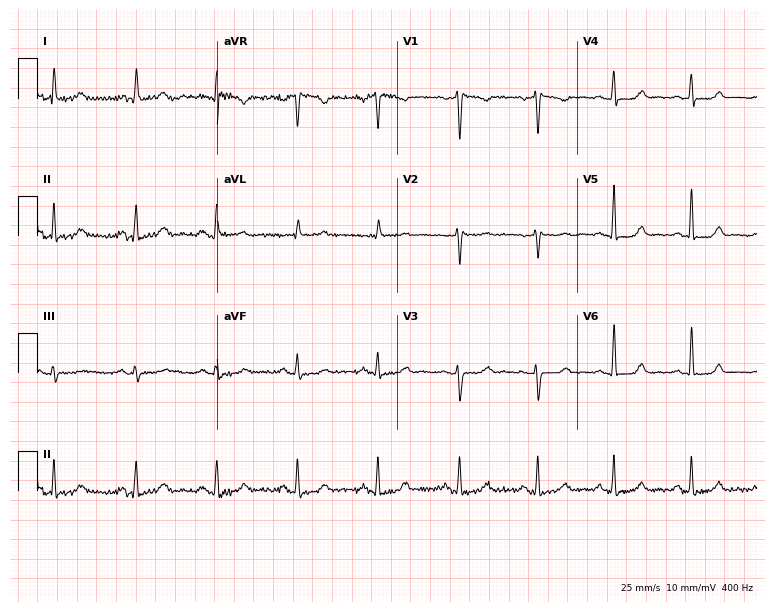
Resting 12-lead electrocardiogram. Patient: a 43-year-old female. Read as a normal ECG.